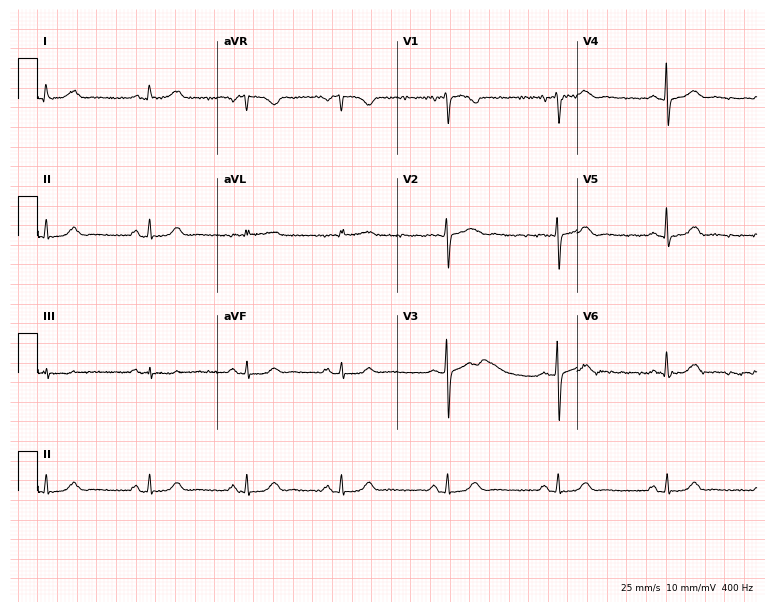
Electrocardiogram, a 57-year-old female patient. Overall reading on record: normal ECG.